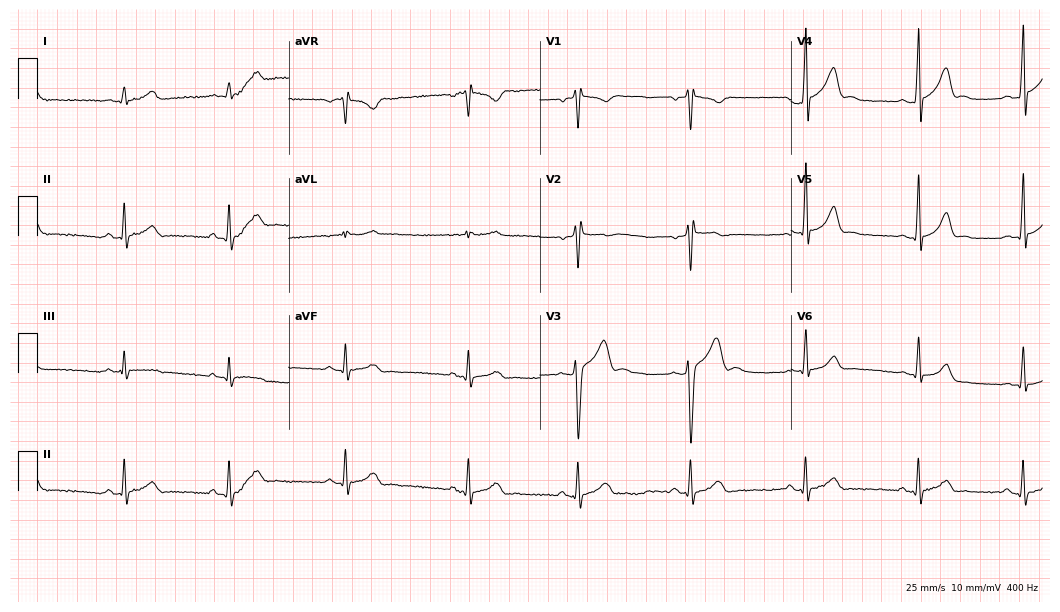
12-lead ECG from a male, 23 years old. Screened for six findings — first-degree AV block, right bundle branch block, left bundle branch block, sinus bradycardia, atrial fibrillation, sinus tachycardia — none is recorded. Findings outside these six are not listed.